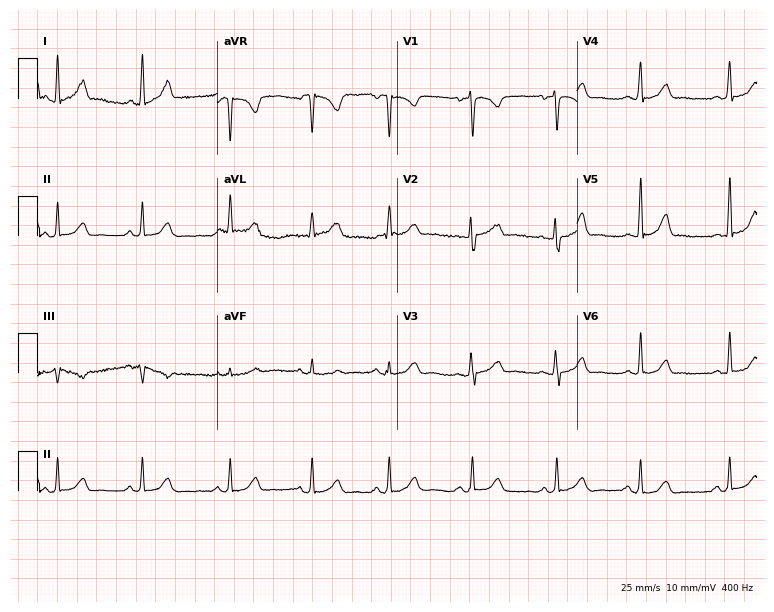
Resting 12-lead electrocardiogram. Patient: a 38-year-old female. Read as a normal ECG.